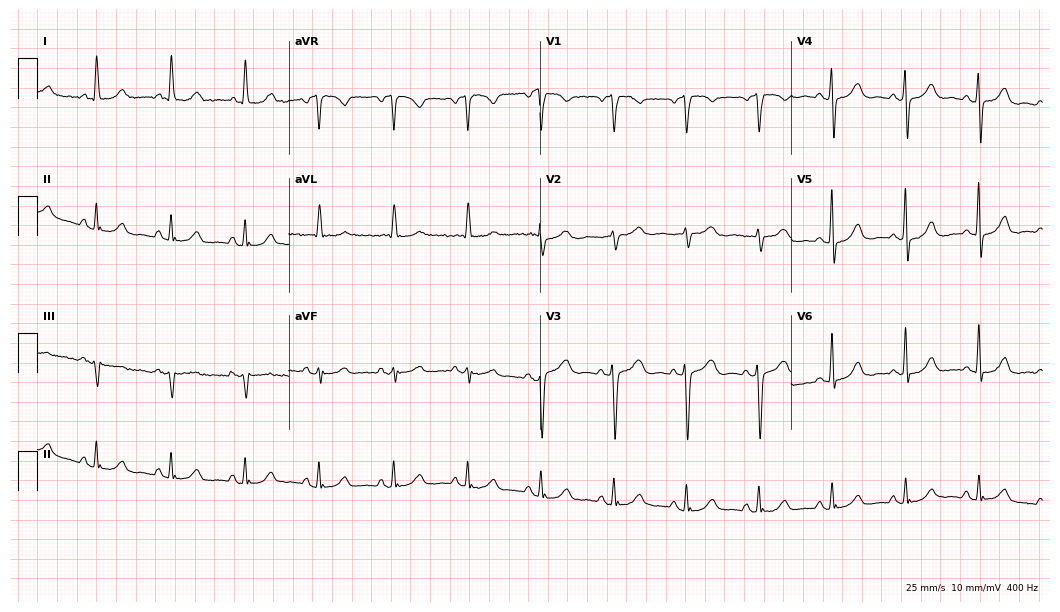
Resting 12-lead electrocardiogram (10.2-second recording at 400 Hz). Patient: a female, 78 years old. Read as a normal ECG.